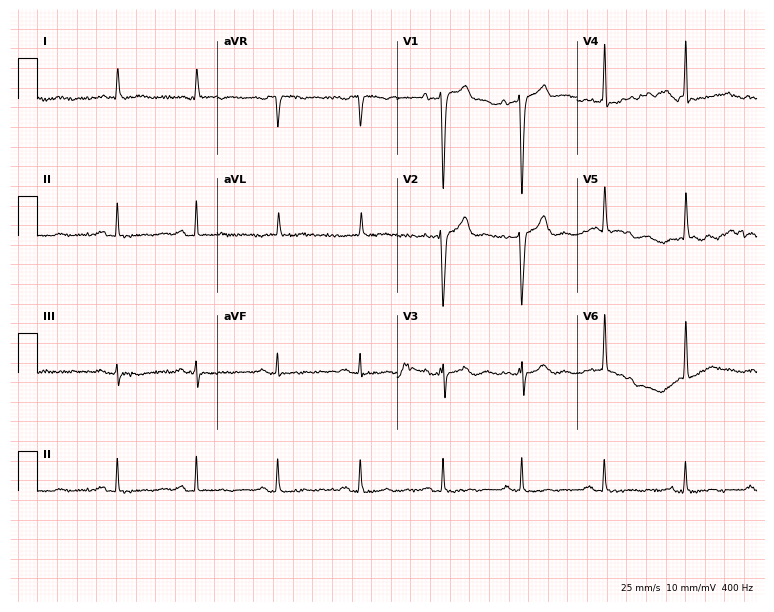
12-lead ECG from an 80-year-old male patient (7.3-second recording at 400 Hz). Recorded interpretation: within normal limits.